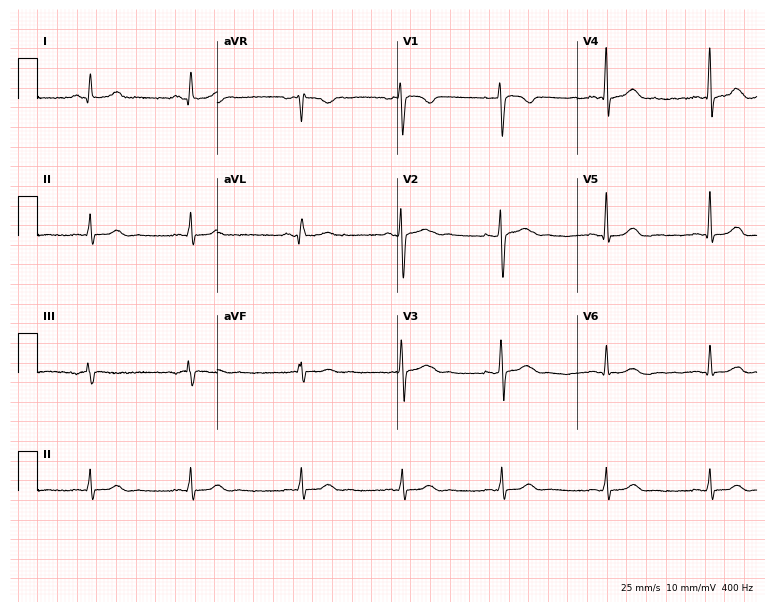
Standard 12-lead ECG recorded from a female patient, 35 years old. None of these six findings is recorded: first-degree AV block, right bundle branch block (RBBB), left bundle branch block (LBBB), sinus bradycardia, atrial fibrillation (AF), sinus tachycardia. Other findings, if any, are not listed.